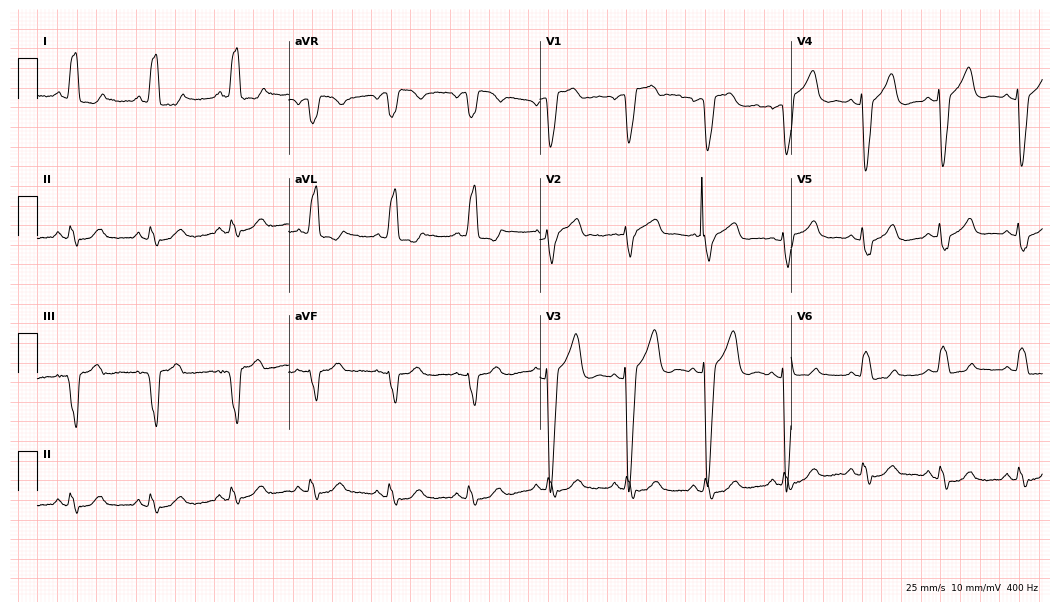
12-lead ECG (10.2-second recording at 400 Hz) from a 77-year-old female. Findings include left bundle branch block.